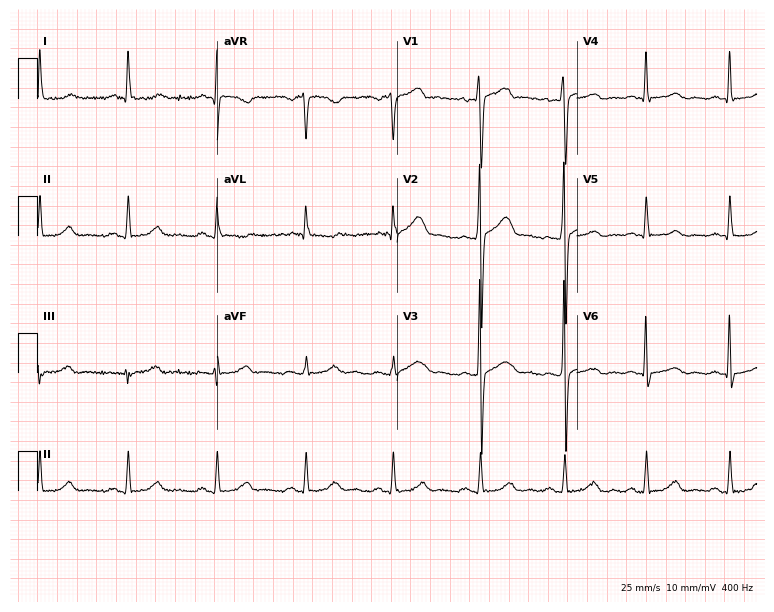
Resting 12-lead electrocardiogram. Patient: a woman, 55 years old. Read as a normal ECG.